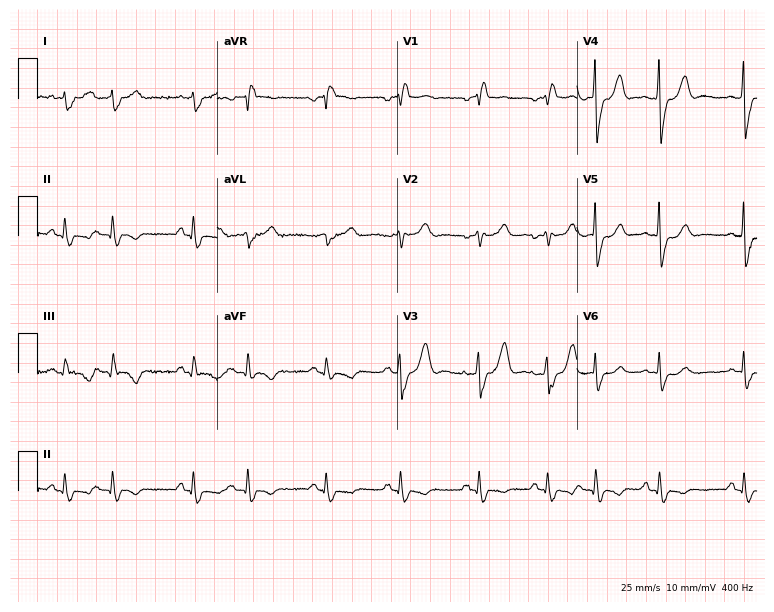
Standard 12-lead ECG recorded from a 78-year-old man. The tracing shows right bundle branch block.